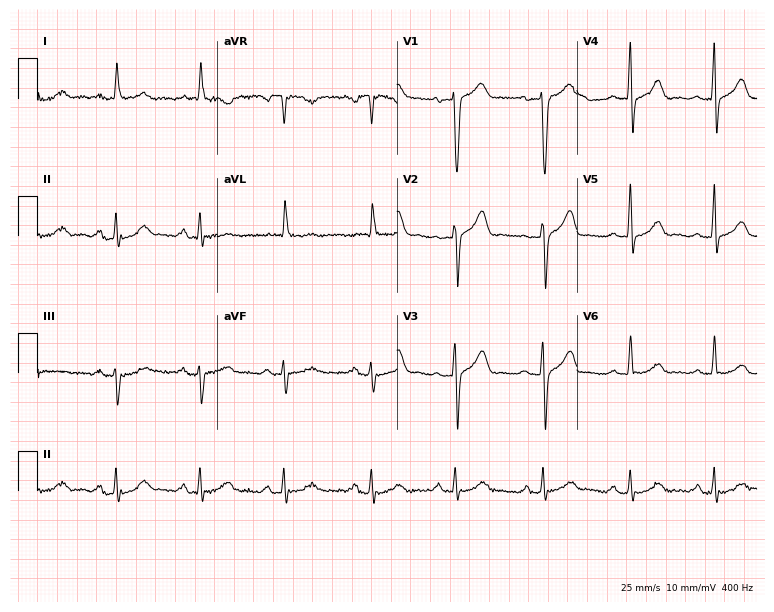
12-lead ECG from a man, 67 years old. Recorded interpretation: within normal limits.